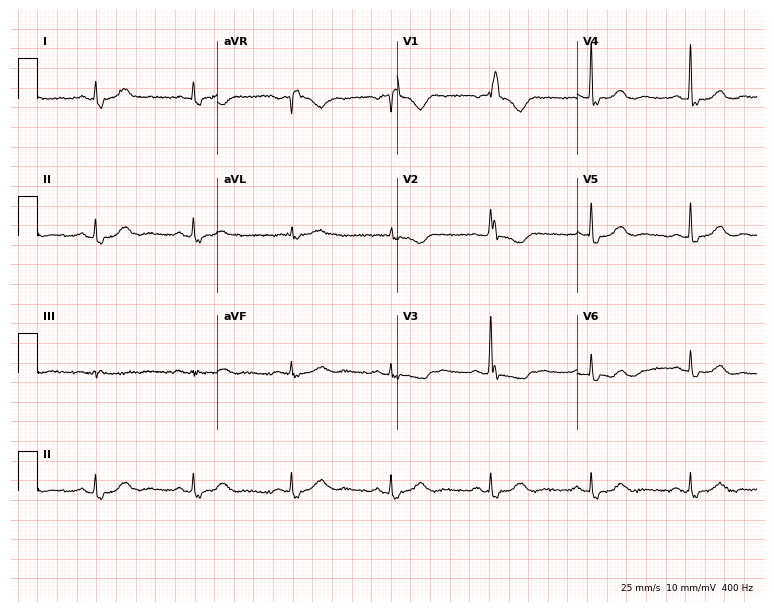
Resting 12-lead electrocardiogram. Patient: an 80-year-old female. The tracing shows right bundle branch block.